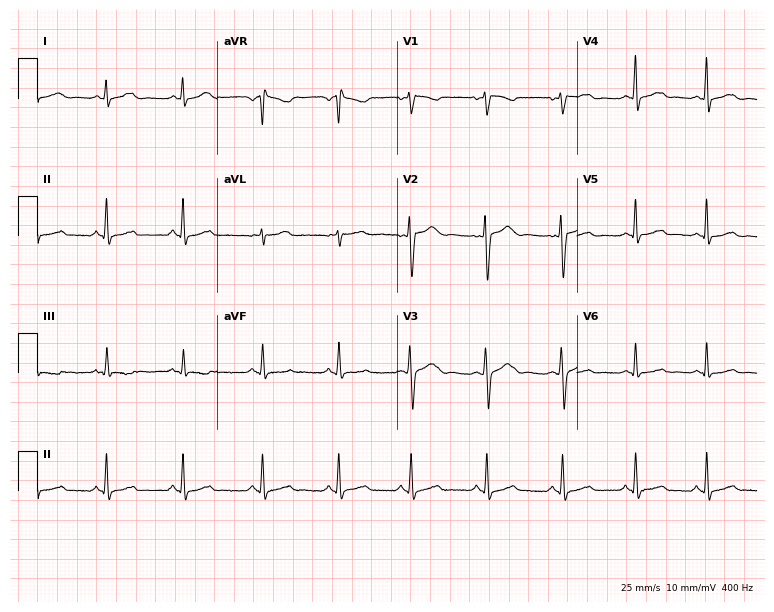
ECG — a 34-year-old female patient. Labelled as a normal ECG.